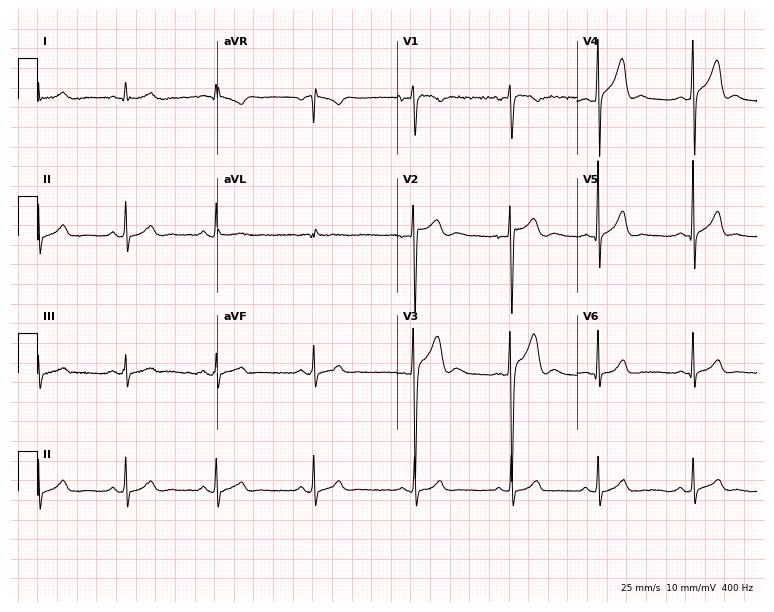
Resting 12-lead electrocardiogram (7.3-second recording at 400 Hz). Patient: a male, 19 years old. Read as a normal ECG.